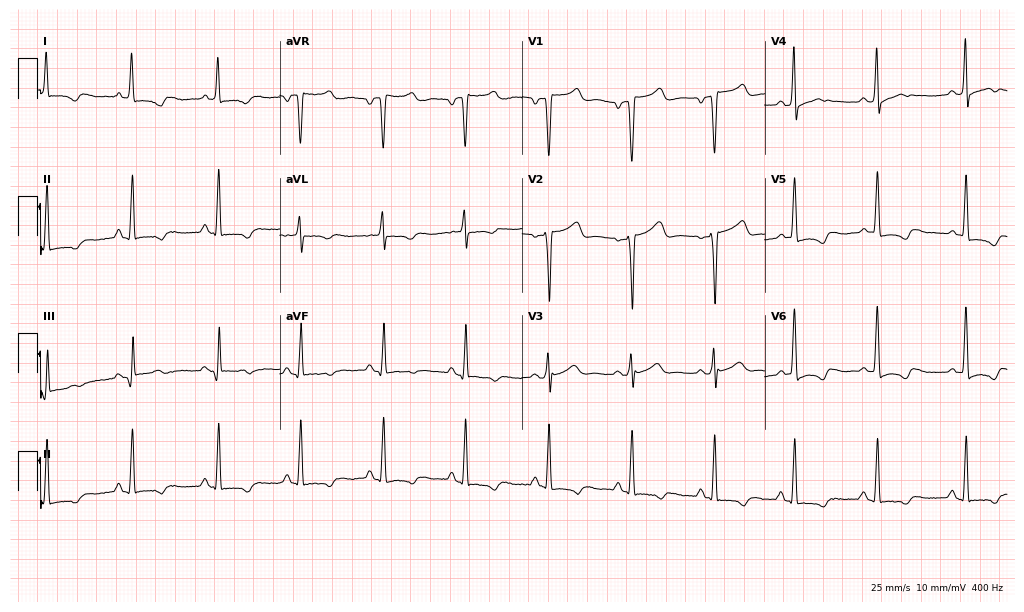
12-lead ECG from a female, 46 years old. No first-degree AV block, right bundle branch block, left bundle branch block, sinus bradycardia, atrial fibrillation or sinus tachycardia recorded for this tracing.